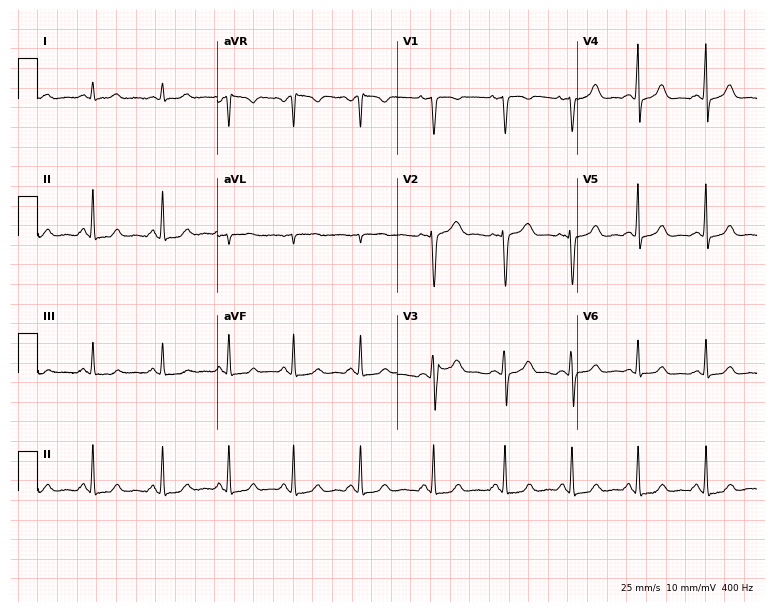
ECG (7.3-second recording at 400 Hz) — a female, 30 years old. Screened for six findings — first-degree AV block, right bundle branch block (RBBB), left bundle branch block (LBBB), sinus bradycardia, atrial fibrillation (AF), sinus tachycardia — none is recorded.